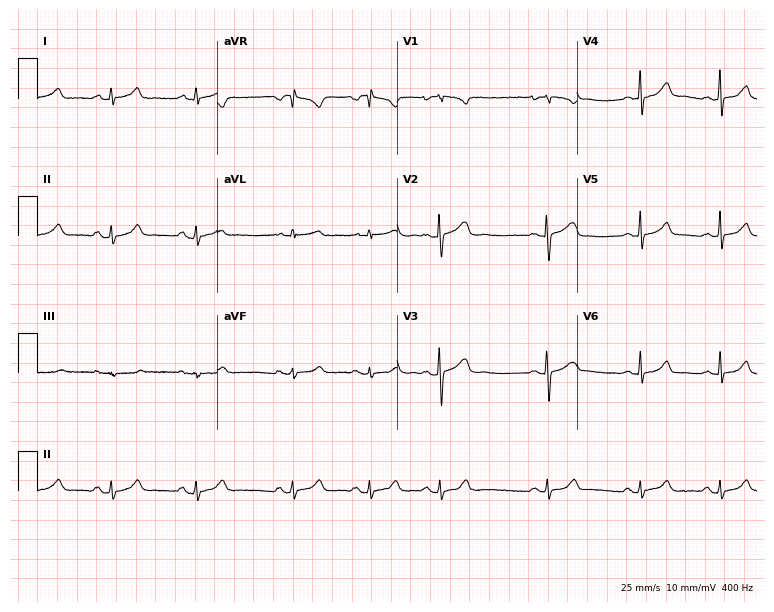
Standard 12-lead ECG recorded from a 17-year-old female patient. Read as a normal ECG.